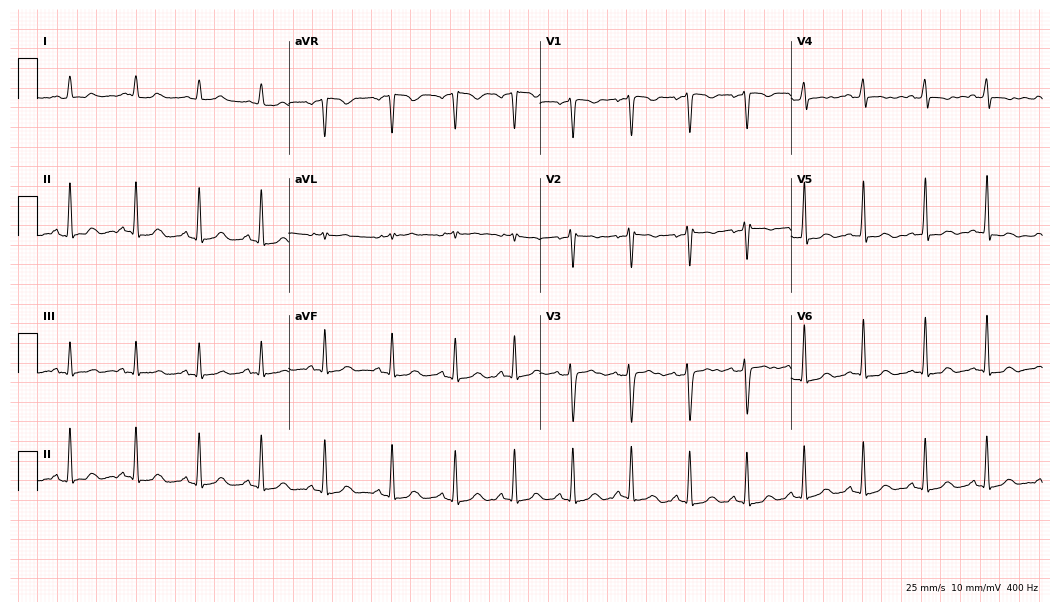
12-lead ECG (10.2-second recording at 400 Hz) from a 30-year-old woman. Screened for six findings — first-degree AV block, right bundle branch block, left bundle branch block, sinus bradycardia, atrial fibrillation, sinus tachycardia — none is recorded.